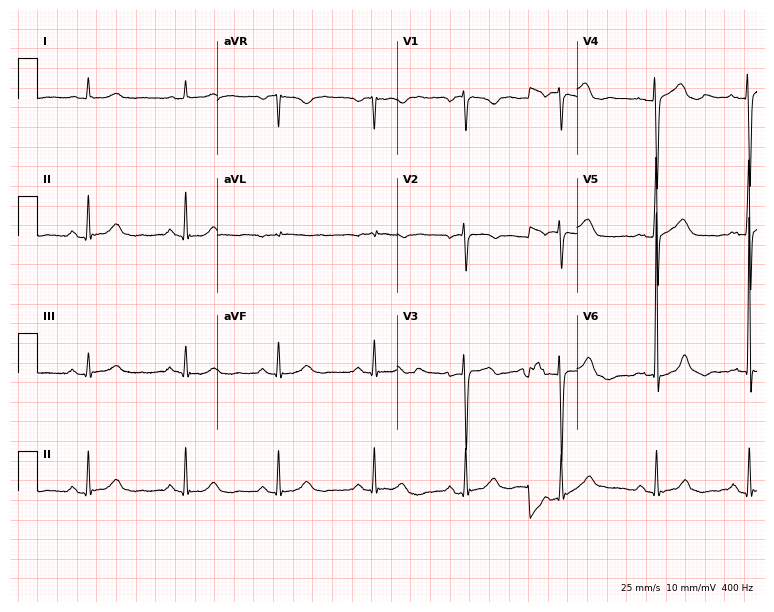
Standard 12-lead ECG recorded from a woman, 71 years old. Read as a normal ECG.